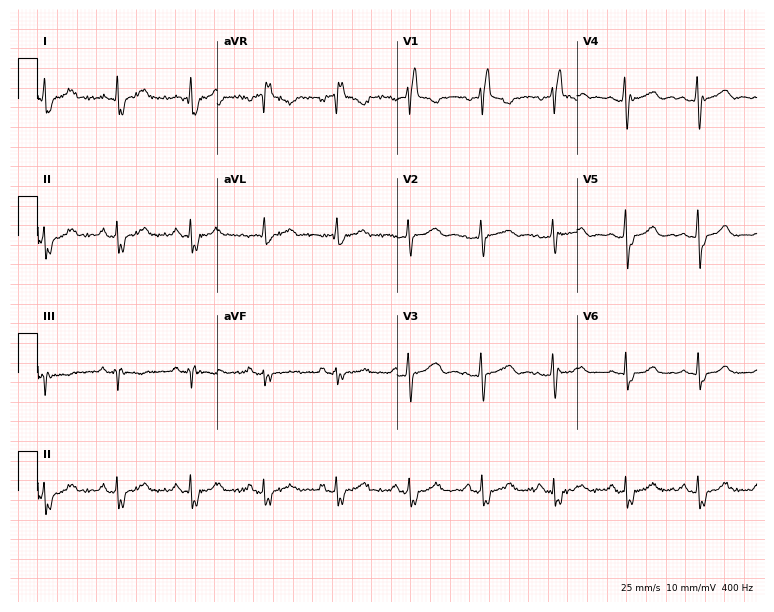
12-lead ECG from a 44-year-old female. Findings include right bundle branch block (RBBB).